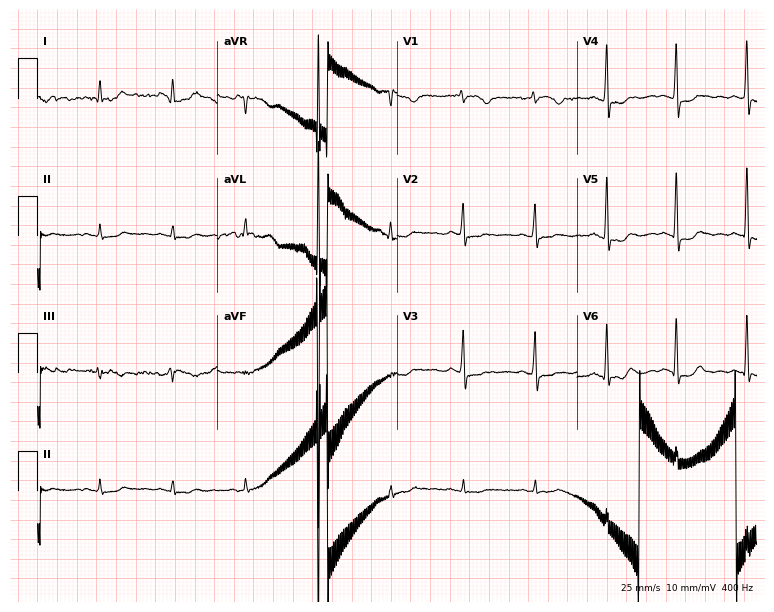
Resting 12-lead electrocardiogram. Patient: a female, 50 years old. None of these six findings is recorded: first-degree AV block, right bundle branch block, left bundle branch block, sinus bradycardia, atrial fibrillation, sinus tachycardia.